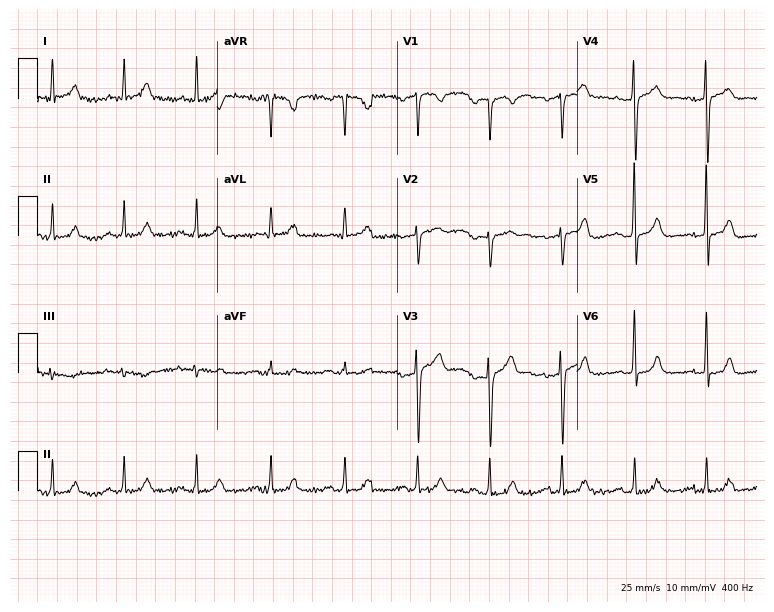
Electrocardiogram, a 56-year-old male. Overall reading on record: normal ECG.